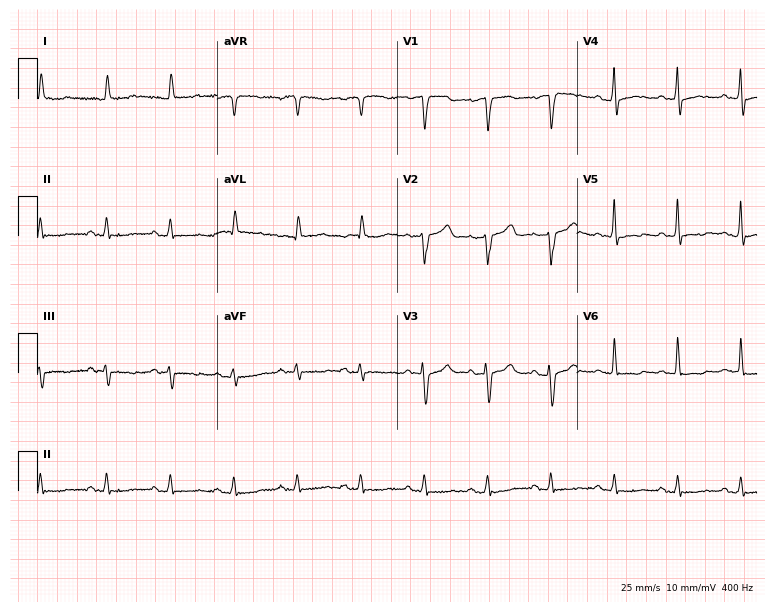
12-lead ECG (7.3-second recording at 400 Hz) from an 85-year-old male. Screened for six findings — first-degree AV block, right bundle branch block, left bundle branch block, sinus bradycardia, atrial fibrillation, sinus tachycardia — none is recorded.